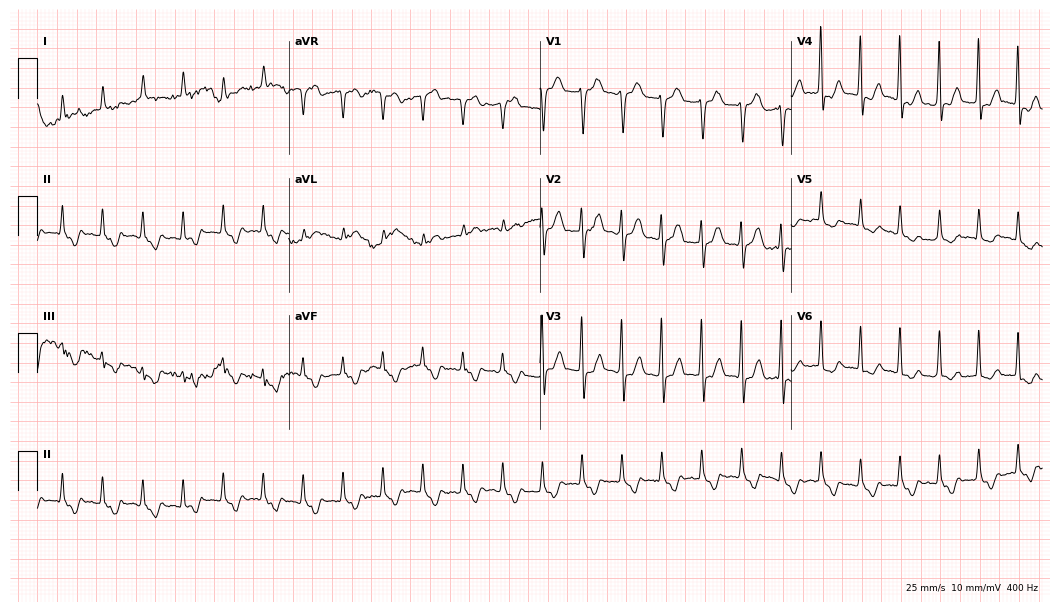
Electrocardiogram (10.2-second recording at 400 Hz), a male, 84 years old. Of the six screened findings (first-degree AV block, right bundle branch block, left bundle branch block, sinus bradycardia, atrial fibrillation, sinus tachycardia), none is recorded.